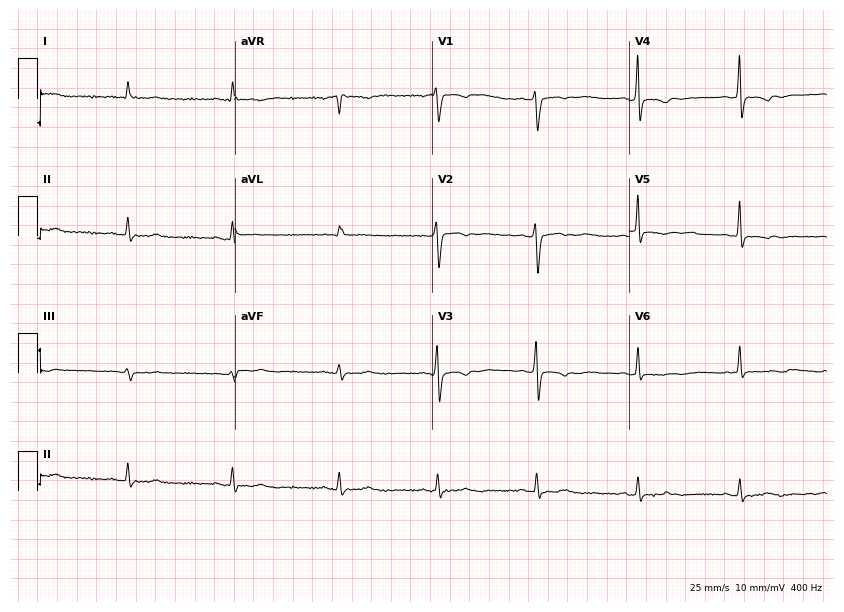
12-lead ECG from a female, 42 years old (8-second recording at 400 Hz). No first-degree AV block, right bundle branch block, left bundle branch block, sinus bradycardia, atrial fibrillation or sinus tachycardia recorded for this tracing. Other findings, if any, are not listed.